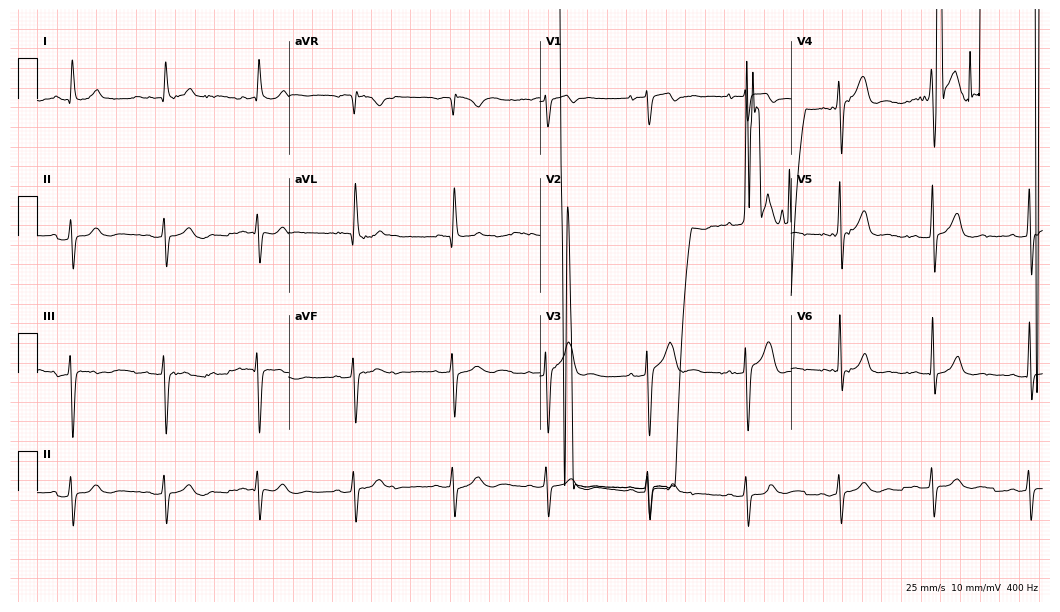
Resting 12-lead electrocardiogram (10.2-second recording at 400 Hz). Patient: a female, 66 years old. None of these six findings is recorded: first-degree AV block, right bundle branch block (RBBB), left bundle branch block (LBBB), sinus bradycardia, atrial fibrillation (AF), sinus tachycardia. Findings outside these six are not listed.